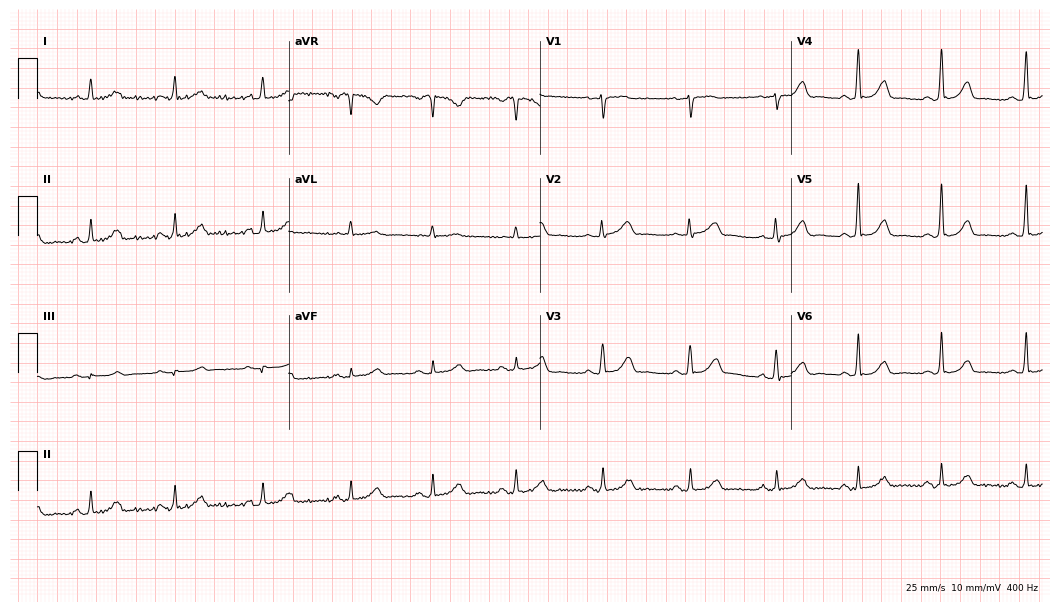
12-lead ECG from a 50-year-old female (10.2-second recording at 400 Hz). No first-degree AV block, right bundle branch block, left bundle branch block, sinus bradycardia, atrial fibrillation or sinus tachycardia recorded for this tracing. Findings outside these six are not listed.